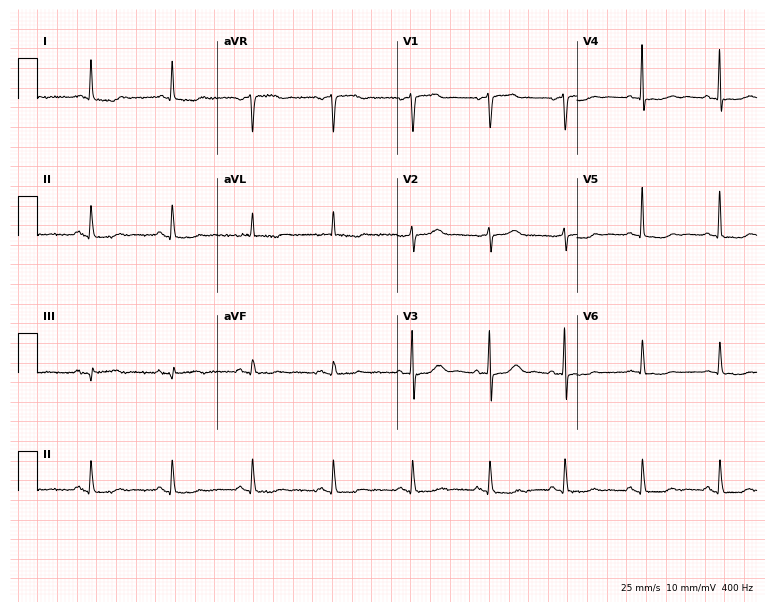
ECG — a female, 80 years old. Screened for six findings — first-degree AV block, right bundle branch block (RBBB), left bundle branch block (LBBB), sinus bradycardia, atrial fibrillation (AF), sinus tachycardia — none is recorded. Other findings, if any, are not listed.